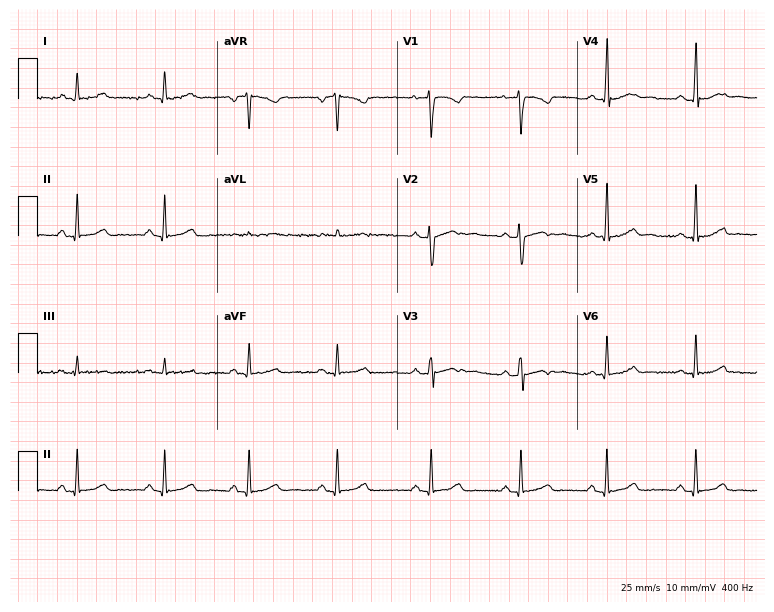
12-lead ECG from a female patient, 32 years old. Recorded interpretation: within normal limits.